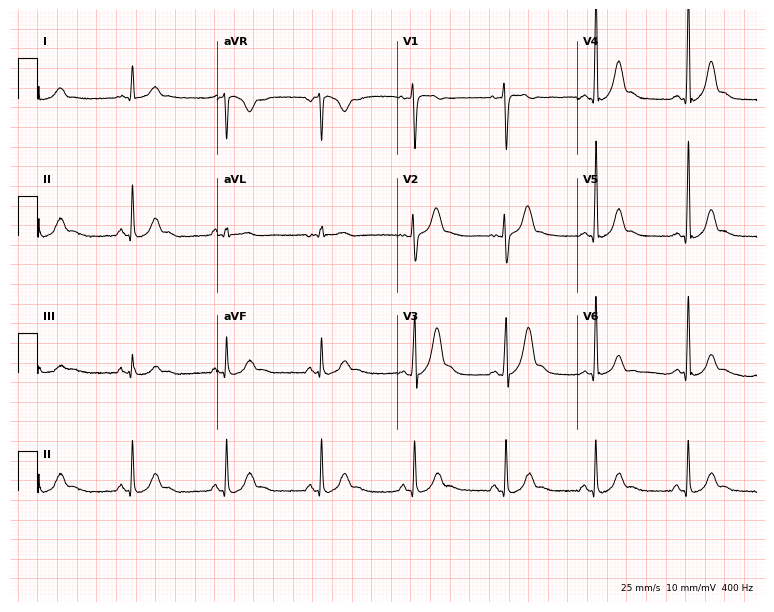
12-lead ECG (7.3-second recording at 400 Hz) from a 26-year-old male. Screened for six findings — first-degree AV block, right bundle branch block (RBBB), left bundle branch block (LBBB), sinus bradycardia, atrial fibrillation (AF), sinus tachycardia — none is recorded.